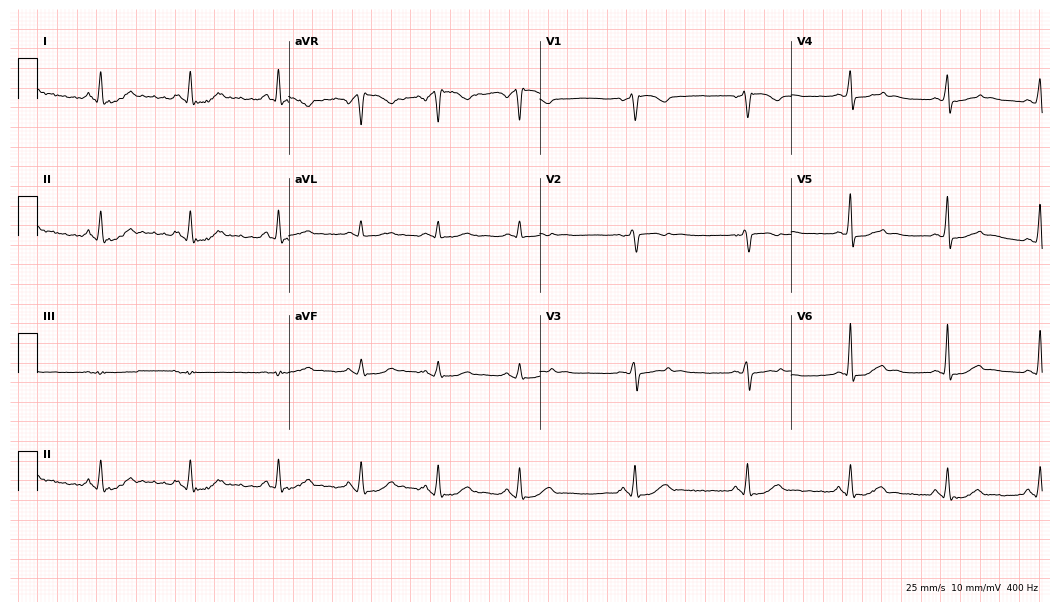
Resting 12-lead electrocardiogram (10.2-second recording at 400 Hz). Patient: a female, 47 years old. None of these six findings is recorded: first-degree AV block, right bundle branch block, left bundle branch block, sinus bradycardia, atrial fibrillation, sinus tachycardia. Only these six findings were labelled.